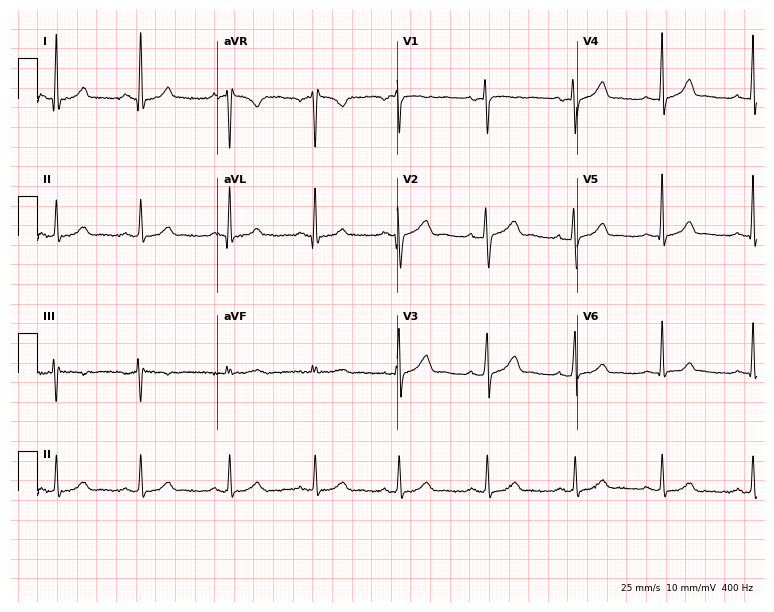
12-lead ECG from a 27-year-old female patient. Labelled as a normal ECG.